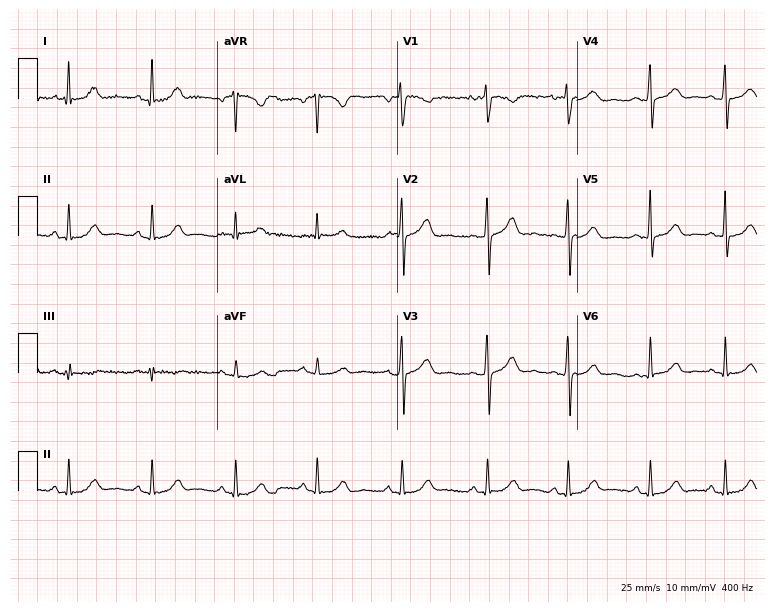
12-lead ECG from a 38-year-old woman. Recorded interpretation: within normal limits.